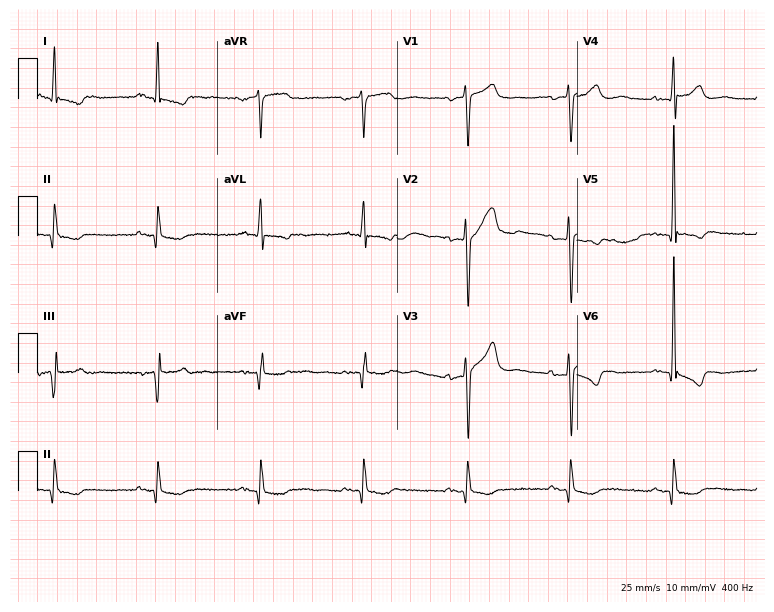
Electrocardiogram (7.3-second recording at 400 Hz), a male patient, 85 years old. Of the six screened findings (first-degree AV block, right bundle branch block, left bundle branch block, sinus bradycardia, atrial fibrillation, sinus tachycardia), none is recorded.